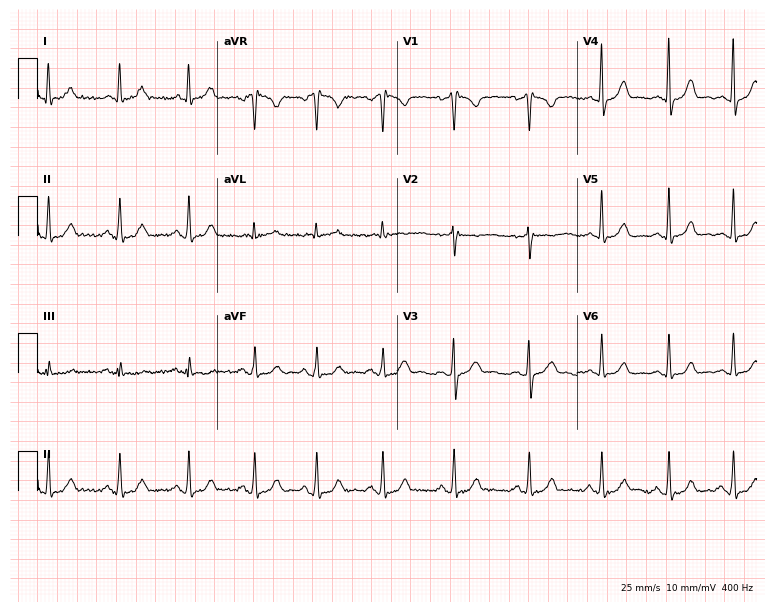
12-lead ECG from a woman, 32 years old (7.3-second recording at 400 Hz). Recorded interpretation: within normal limits.